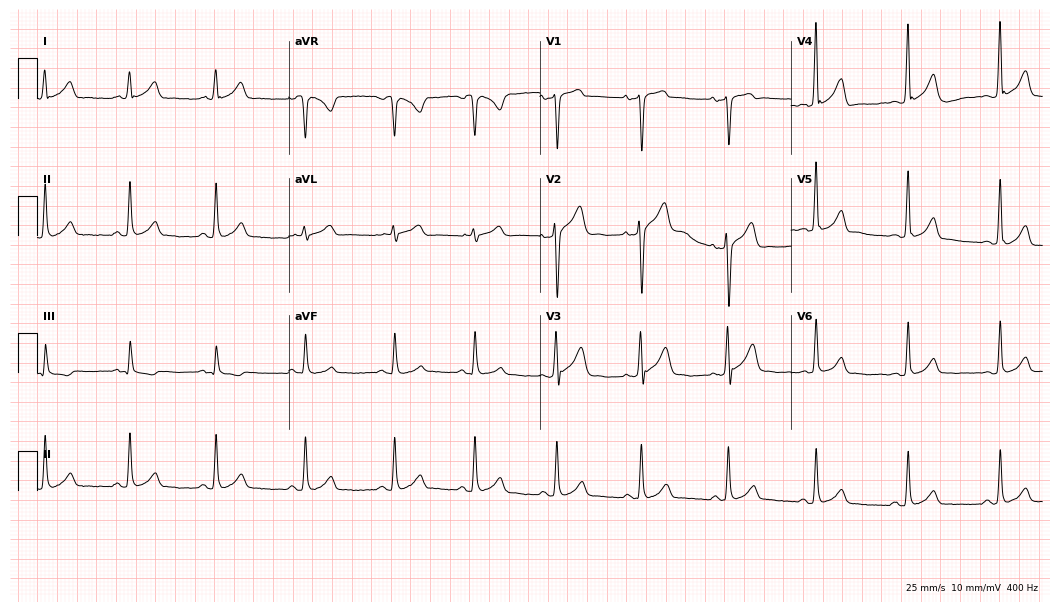
12-lead ECG from a male patient, 34 years old (10.2-second recording at 400 Hz). No first-degree AV block, right bundle branch block, left bundle branch block, sinus bradycardia, atrial fibrillation or sinus tachycardia recorded for this tracing.